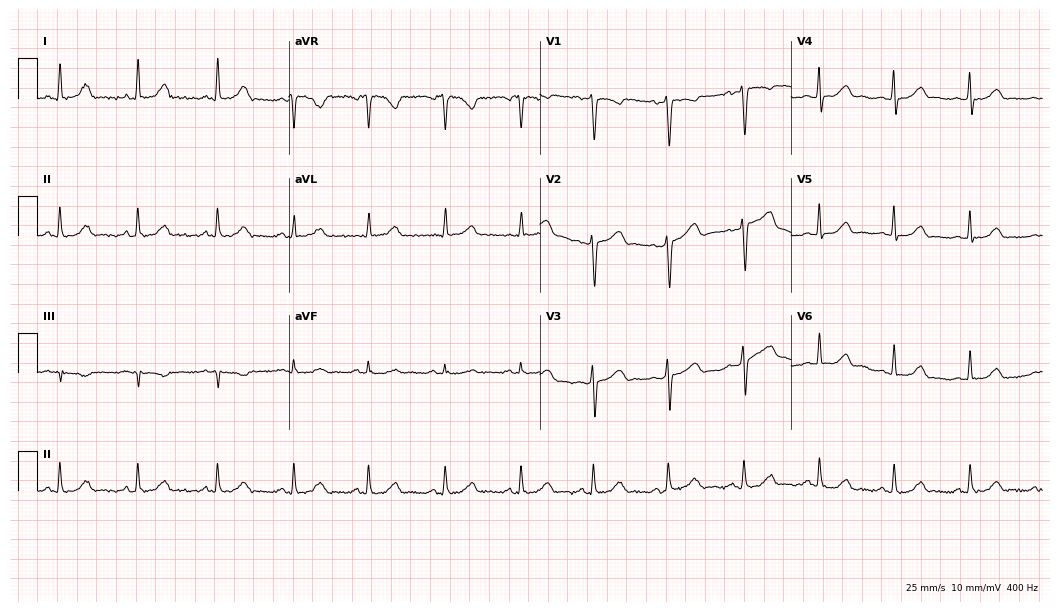
ECG (10.2-second recording at 400 Hz) — a female patient, 45 years old. Labelled as a normal ECG.